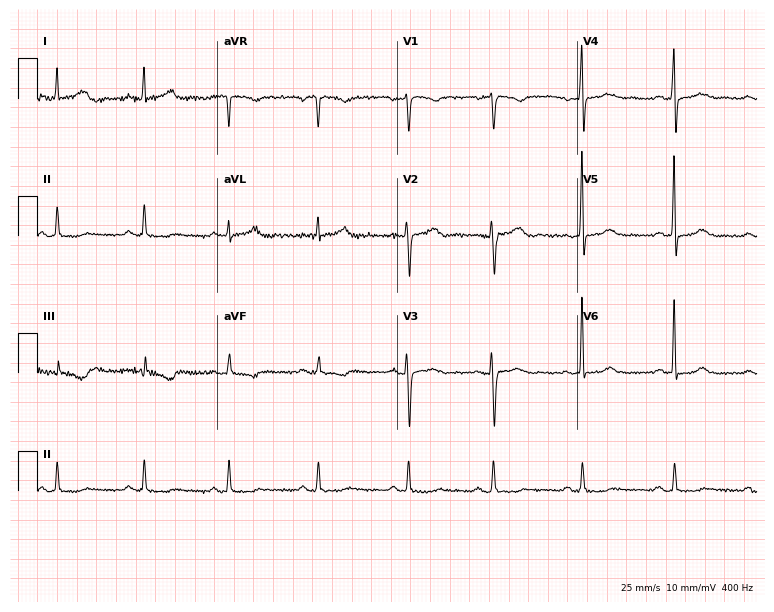
Resting 12-lead electrocardiogram. Patient: a 43-year-old woman. None of these six findings is recorded: first-degree AV block, right bundle branch block, left bundle branch block, sinus bradycardia, atrial fibrillation, sinus tachycardia. Only these six findings were labelled.